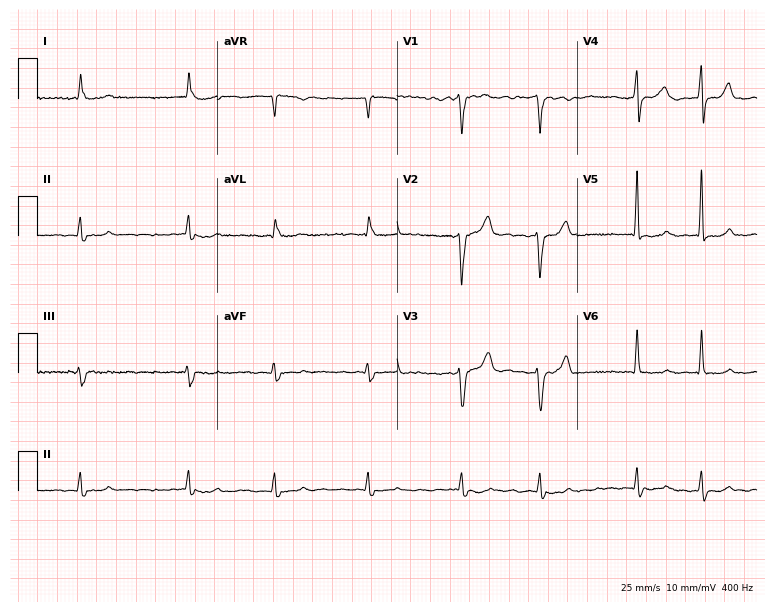
12-lead ECG (7.3-second recording at 400 Hz) from a man, 76 years old. Findings include atrial fibrillation.